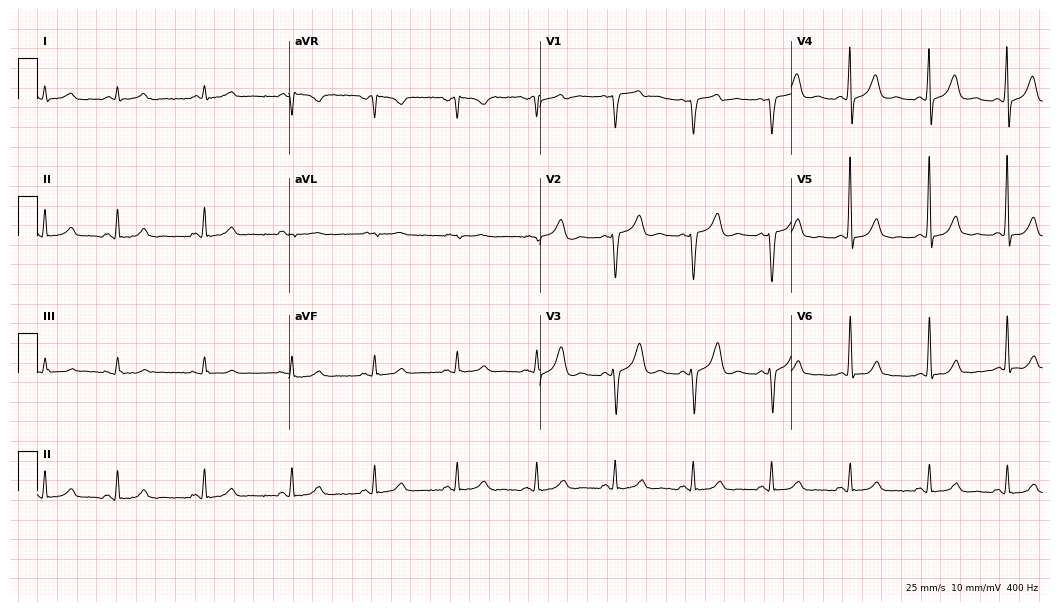
12-lead ECG (10.2-second recording at 400 Hz) from a 58-year-old male patient. Labelled as a normal ECG.